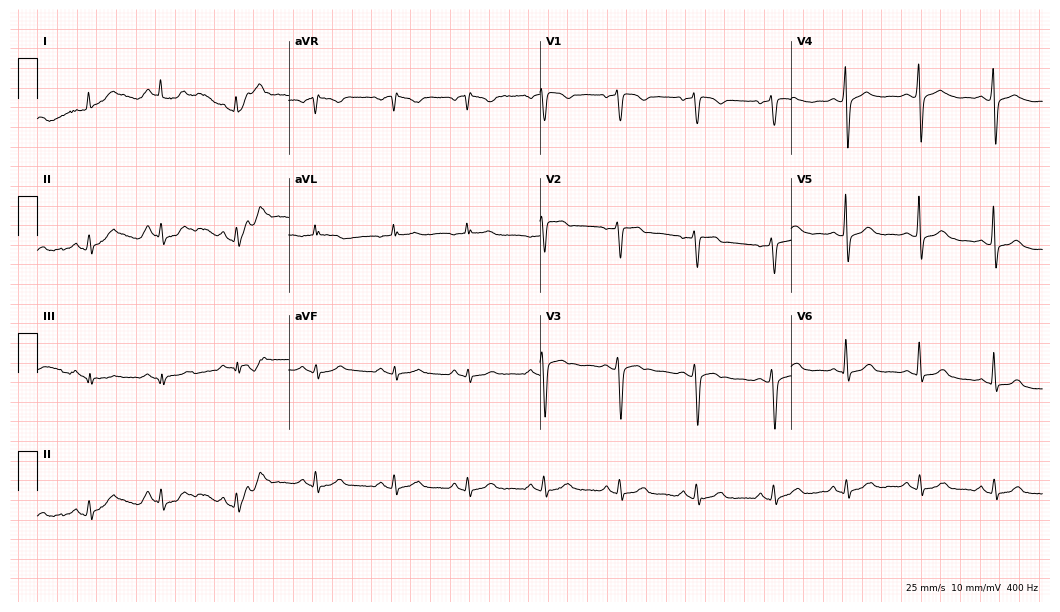
12-lead ECG (10.2-second recording at 400 Hz) from a female patient, 47 years old. Screened for six findings — first-degree AV block, right bundle branch block, left bundle branch block, sinus bradycardia, atrial fibrillation, sinus tachycardia — none is recorded. Findings outside these six are not listed.